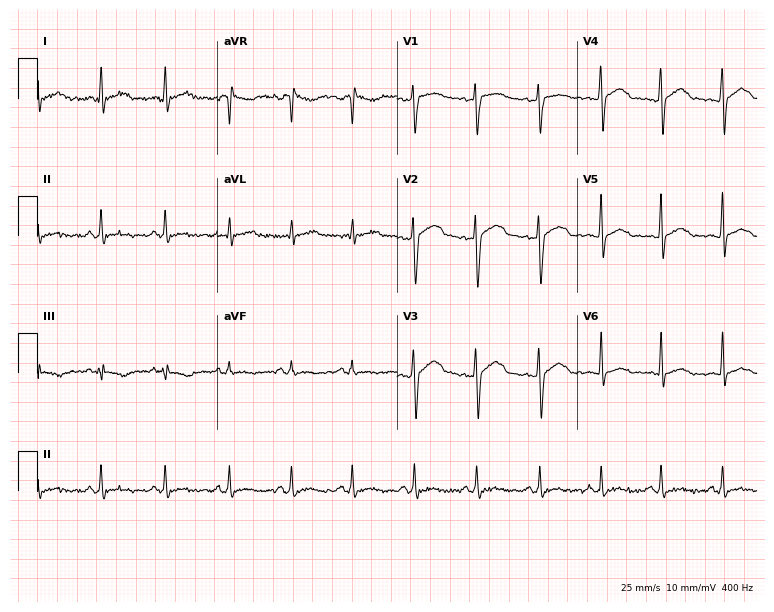
Standard 12-lead ECG recorded from a 40-year-old male (7.3-second recording at 400 Hz). None of these six findings is recorded: first-degree AV block, right bundle branch block (RBBB), left bundle branch block (LBBB), sinus bradycardia, atrial fibrillation (AF), sinus tachycardia. Other findings, if any, are not listed.